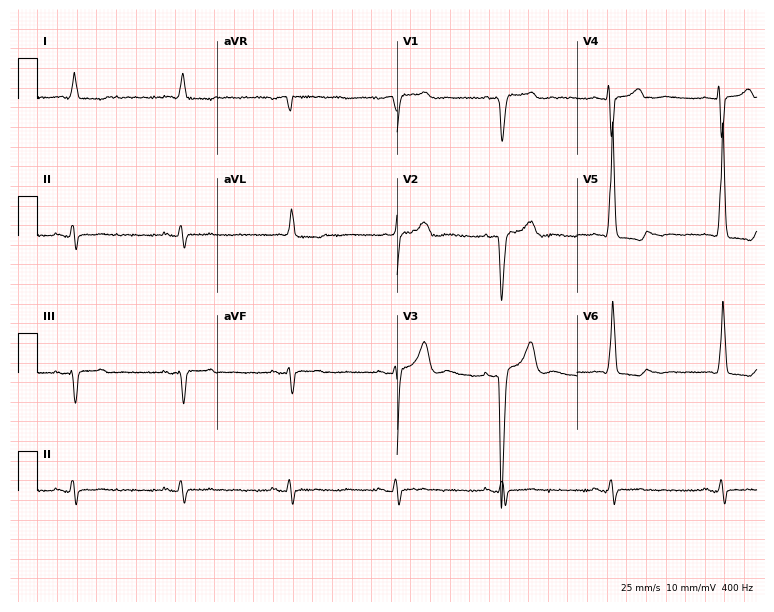
ECG (7.3-second recording at 400 Hz) — a woman, 78 years old. Findings include left bundle branch block (LBBB).